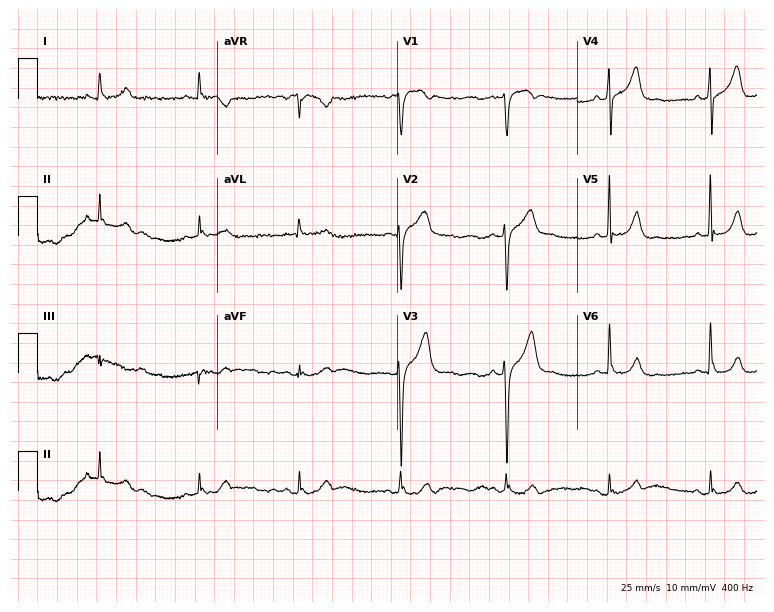
ECG (7.3-second recording at 400 Hz) — a 68-year-old man. Screened for six findings — first-degree AV block, right bundle branch block, left bundle branch block, sinus bradycardia, atrial fibrillation, sinus tachycardia — none is recorded. Findings outside these six are not listed.